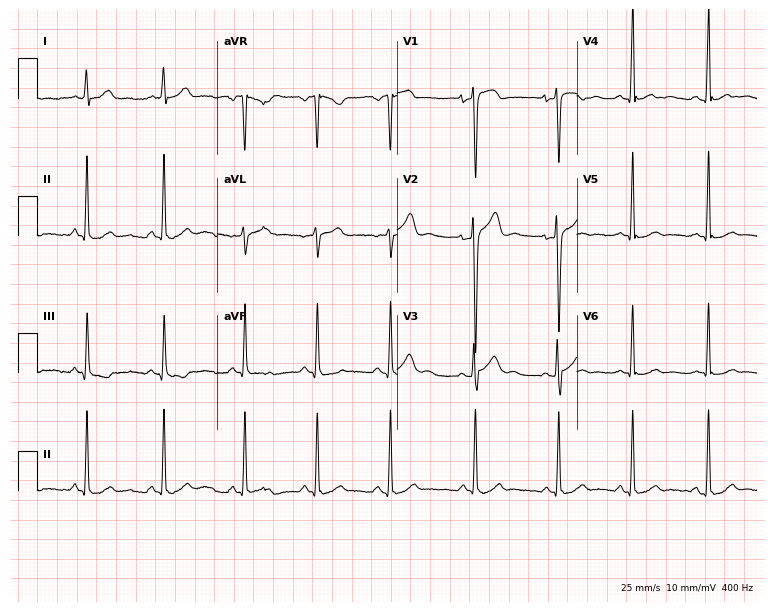
12-lead ECG from an 18-year-old male. Recorded interpretation: within normal limits.